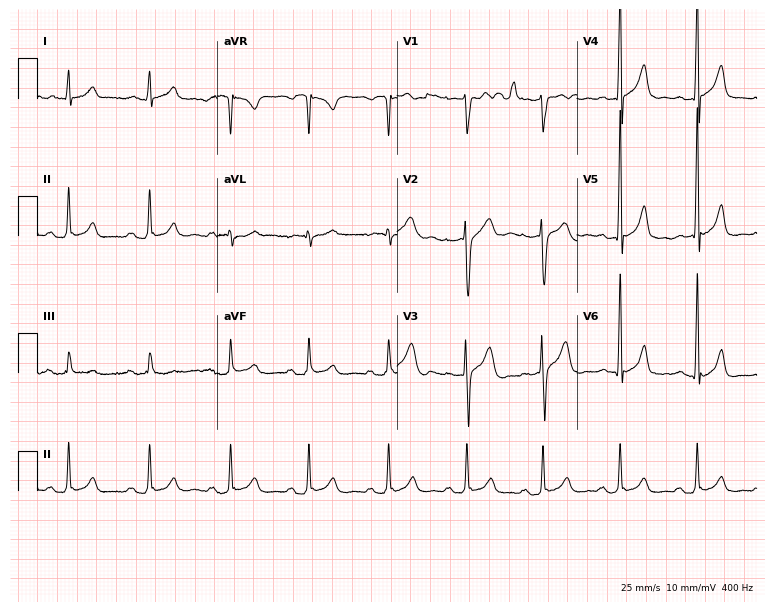
Resting 12-lead electrocardiogram (7.3-second recording at 400 Hz). Patient: a 39-year-old male. Read as a normal ECG.